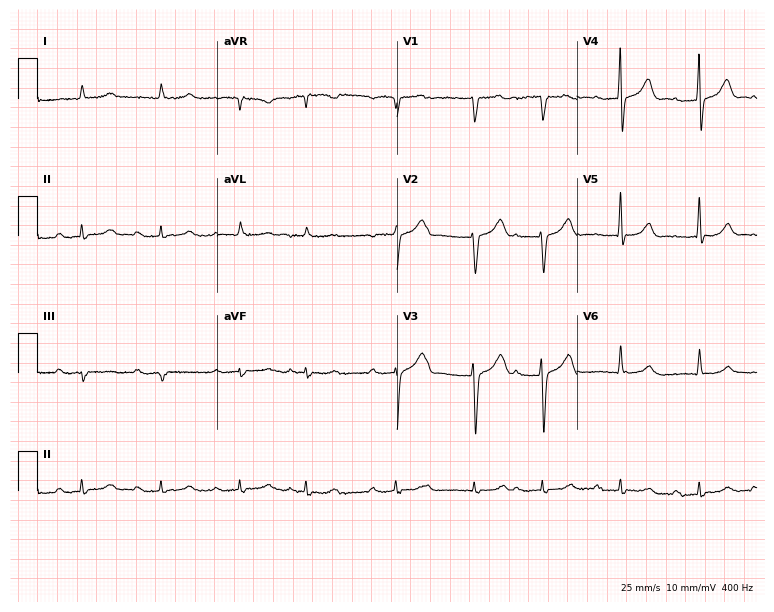
Electrocardiogram, an 83-year-old male. Interpretation includes first-degree AV block.